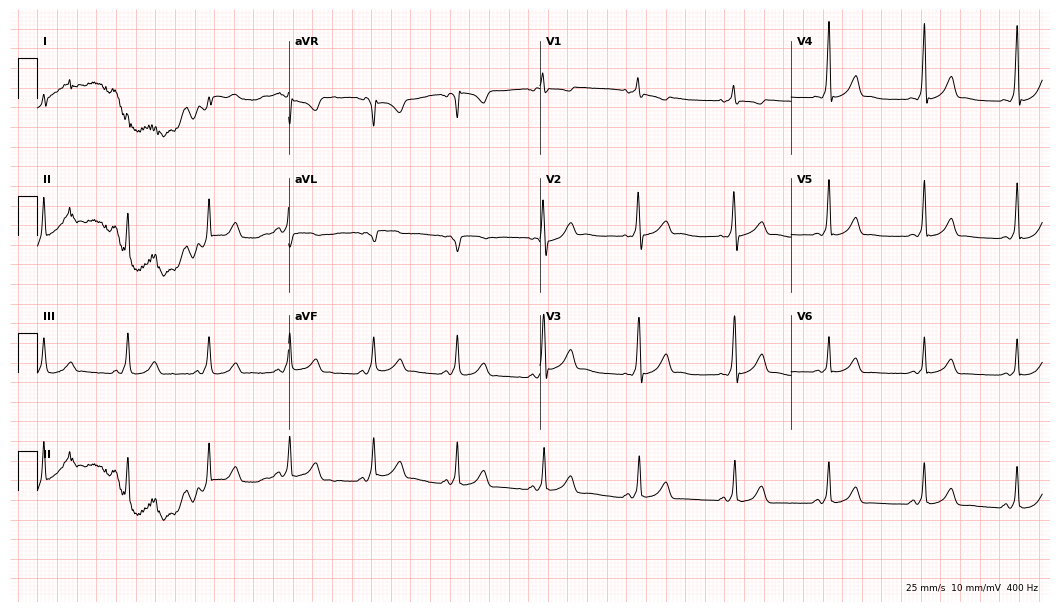
12-lead ECG from a female patient, 18 years old. Screened for six findings — first-degree AV block, right bundle branch block, left bundle branch block, sinus bradycardia, atrial fibrillation, sinus tachycardia — none is recorded. Only these six findings were labelled.